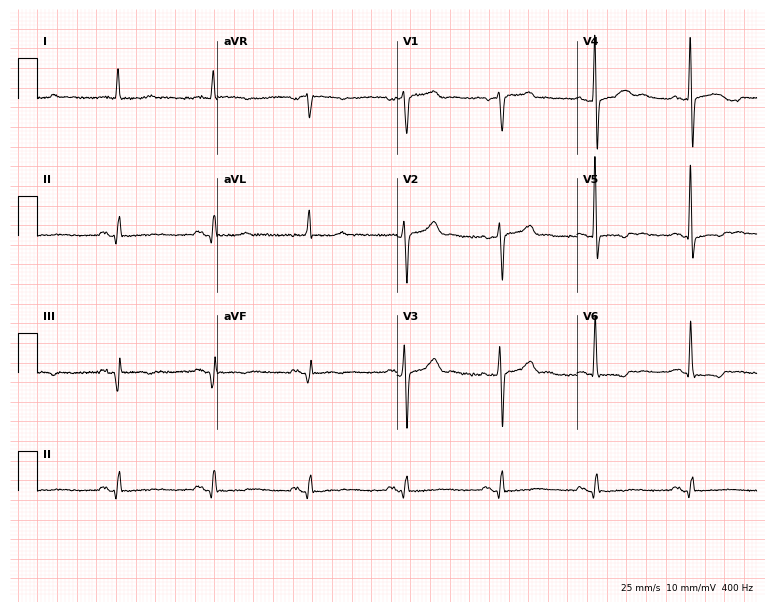
Standard 12-lead ECG recorded from a 74-year-old male patient (7.3-second recording at 400 Hz). None of these six findings is recorded: first-degree AV block, right bundle branch block, left bundle branch block, sinus bradycardia, atrial fibrillation, sinus tachycardia.